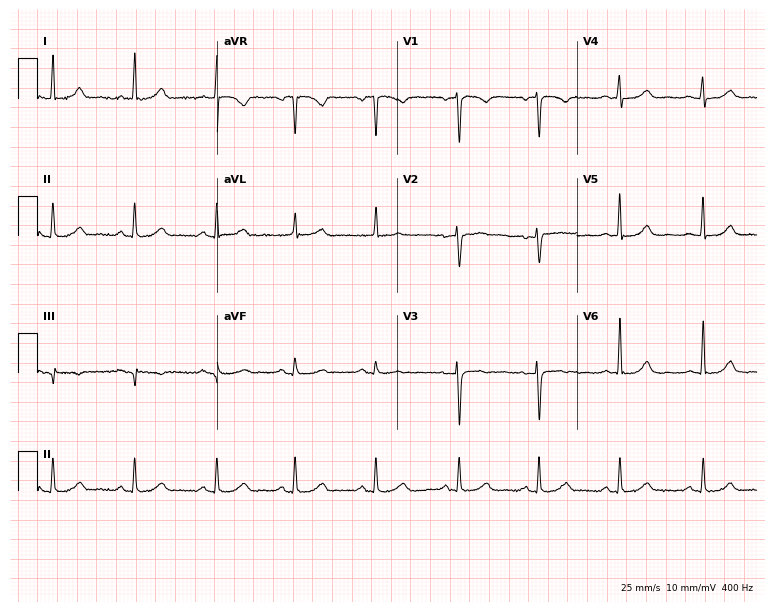
12-lead ECG from a female, 48 years old. No first-degree AV block, right bundle branch block (RBBB), left bundle branch block (LBBB), sinus bradycardia, atrial fibrillation (AF) or sinus tachycardia recorded for this tracing. Only these six findings were labelled.